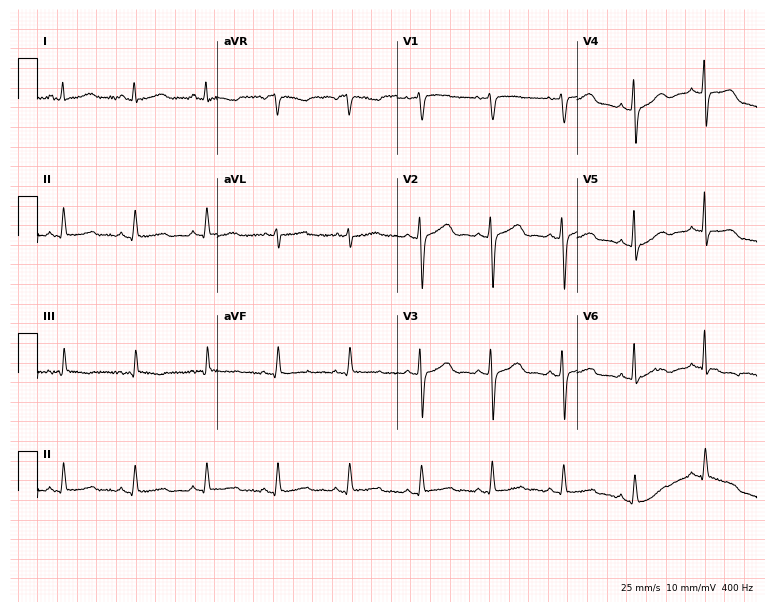
ECG — a 46-year-old female. Screened for six findings — first-degree AV block, right bundle branch block, left bundle branch block, sinus bradycardia, atrial fibrillation, sinus tachycardia — none is recorded. Other findings, if any, are not listed.